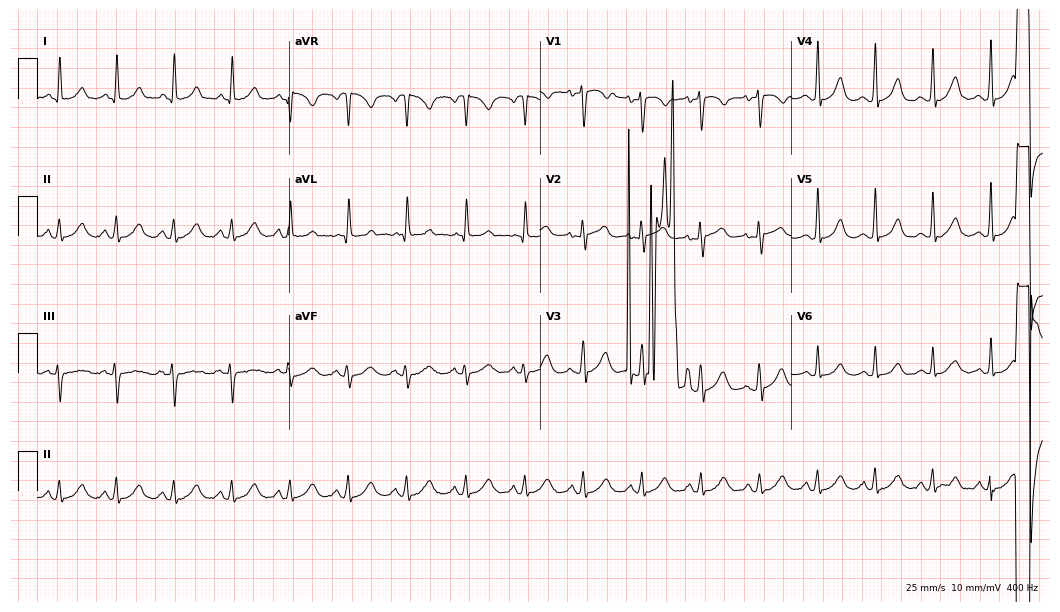
12-lead ECG from a 51-year-old female. Screened for six findings — first-degree AV block, right bundle branch block, left bundle branch block, sinus bradycardia, atrial fibrillation, sinus tachycardia — none is recorded. Only these six findings were labelled.